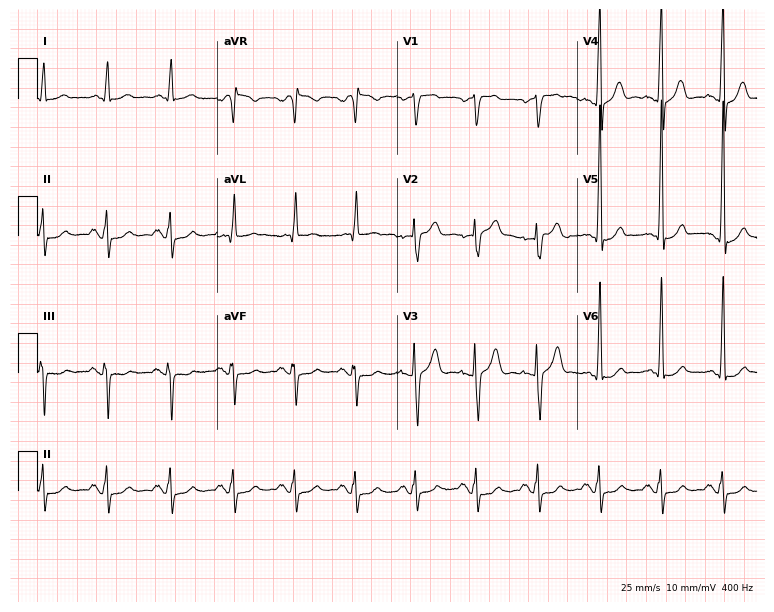
12-lead ECG from a 60-year-old male. No first-degree AV block, right bundle branch block, left bundle branch block, sinus bradycardia, atrial fibrillation or sinus tachycardia recorded for this tracing.